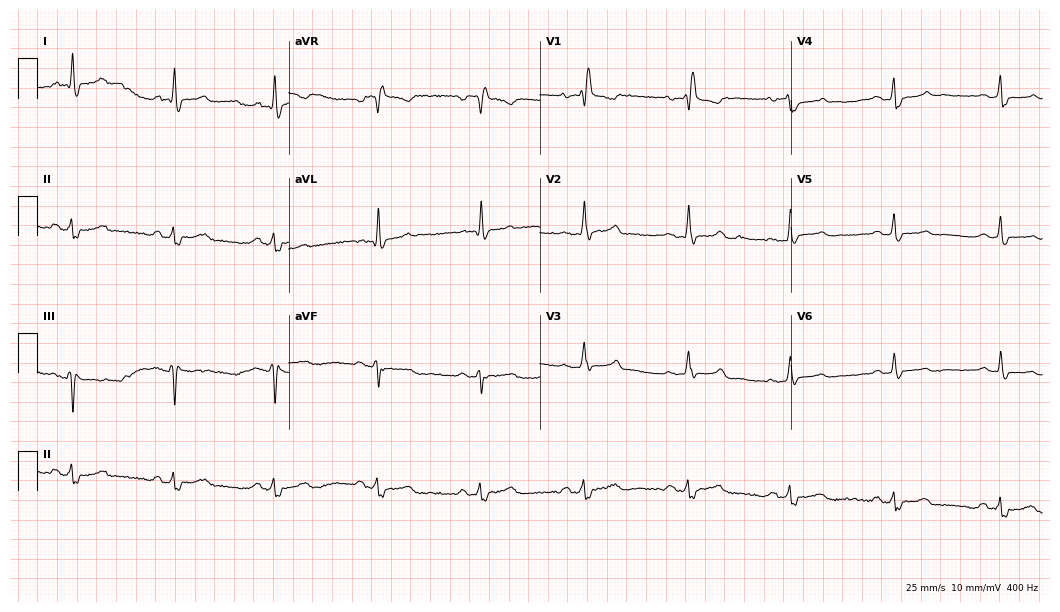
Electrocardiogram (10.2-second recording at 400 Hz), a 52-year-old female. Interpretation includes right bundle branch block (RBBB).